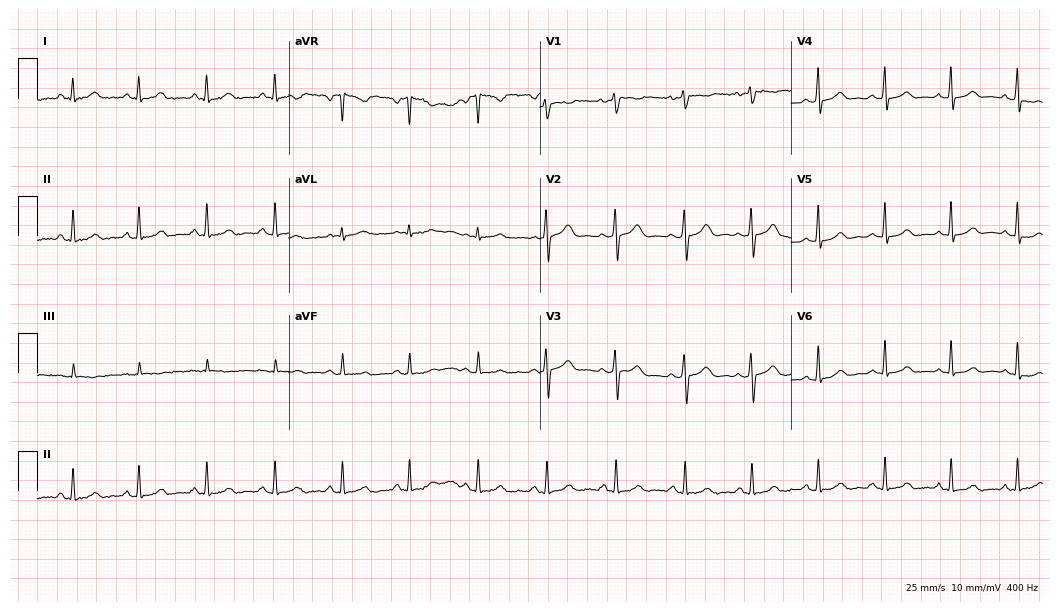
12-lead ECG from a woman, 44 years old. Recorded interpretation: within normal limits.